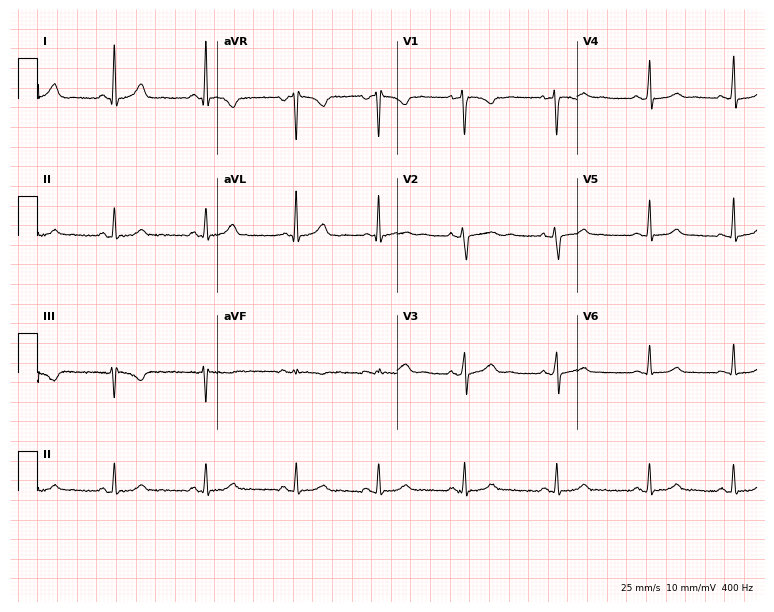
12-lead ECG from a 37-year-old woman. Labelled as a normal ECG.